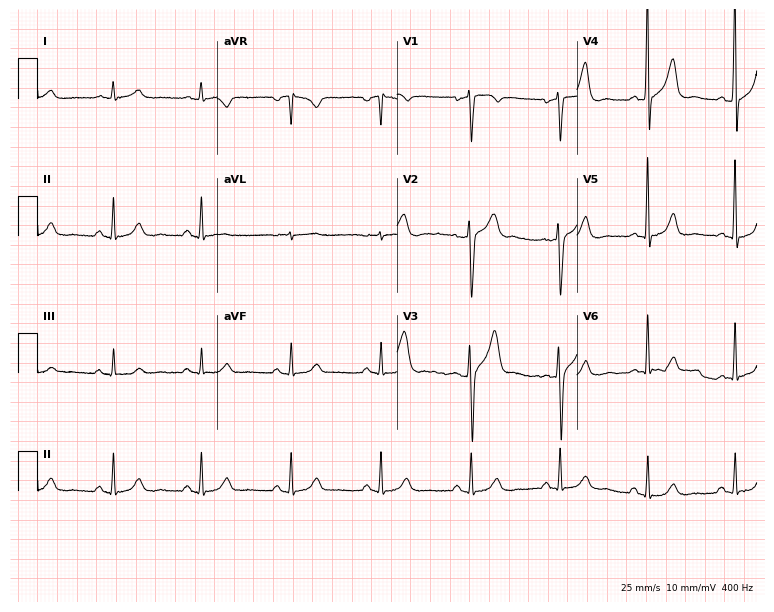
12-lead ECG from a 57-year-old male. Labelled as a normal ECG.